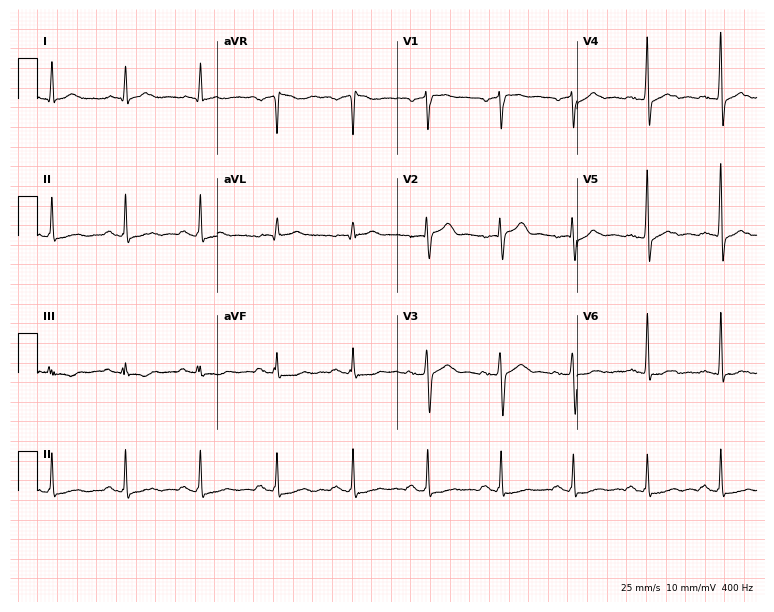
12-lead ECG (7.3-second recording at 400 Hz) from a male, 54 years old. Labelled as a normal ECG.